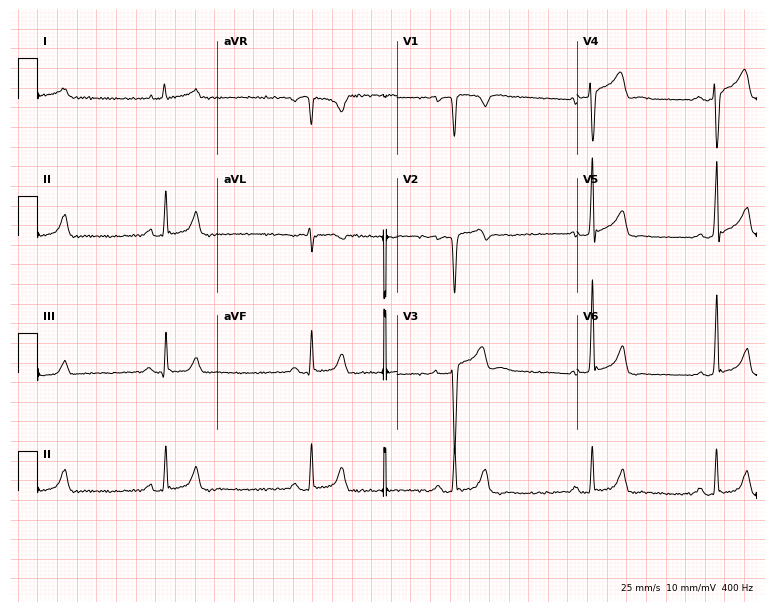
Resting 12-lead electrocardiogram (7.3-second recording at 400 Hz). Patient: a male, 37 years old. The tracing shows sinus bradycardia (a sinus rate of 50 beats per minute or less).